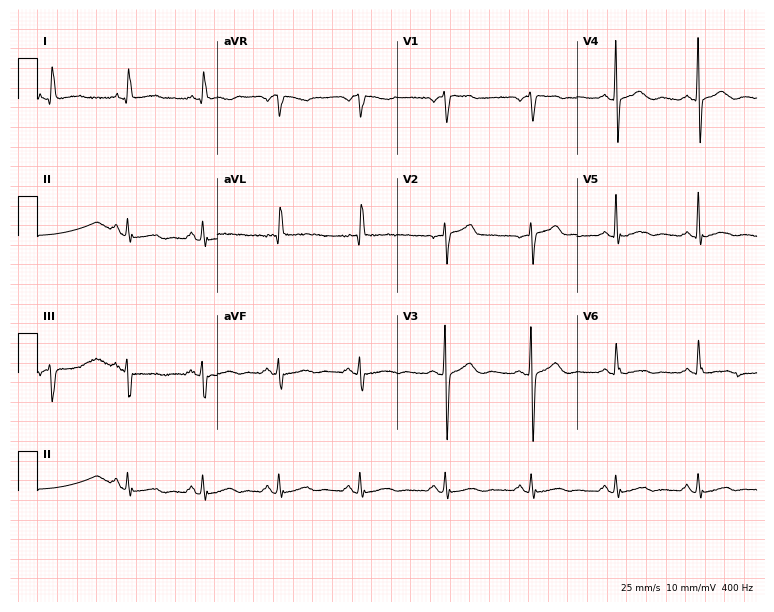
Electrocardiogram (7.3-second recording at 400 Hz), a 73-year-old woman. Of the six screened findings (first-degree AV block, right bundle branch block (RBBB), left bundle branch block (LBBB), sinus bradycardia, atrial fibrillation (AF), sinus tachycardia), none is recorded.